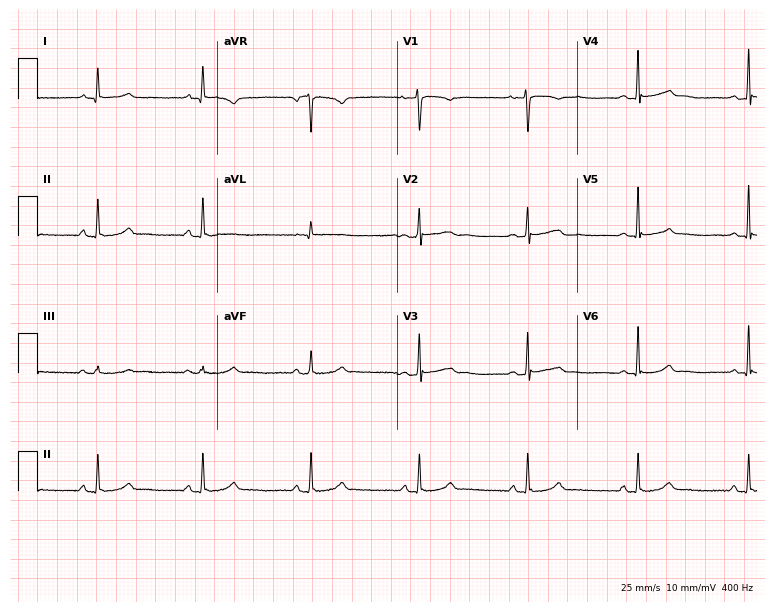
Standard 12-lead ECG recorded from a 23-year-old female patient. None of these six findings is recorded: first-degree AV block, right bundle branch block, left bundle branch block, sinus bradycardia, atrial fibrillation, sinus tachycardia.